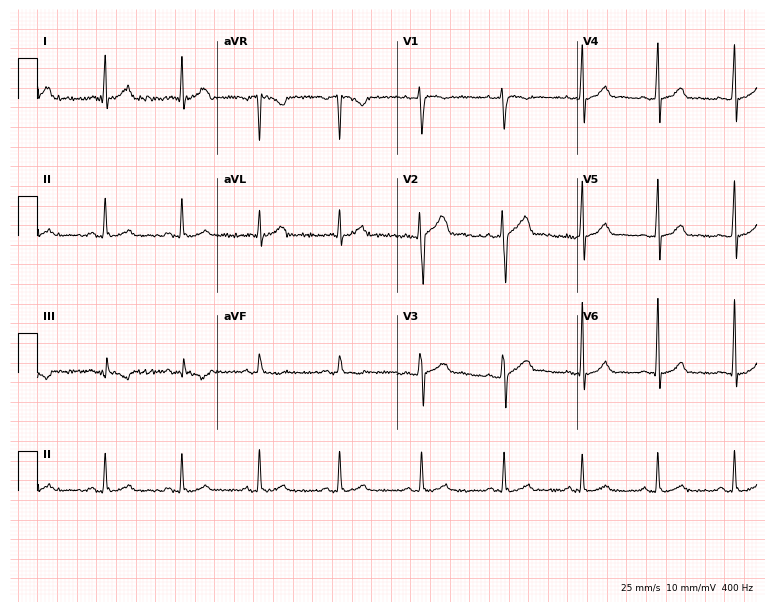
12-lead ECG from a male, 29 years old. Recorded interpretation: within normal limits.